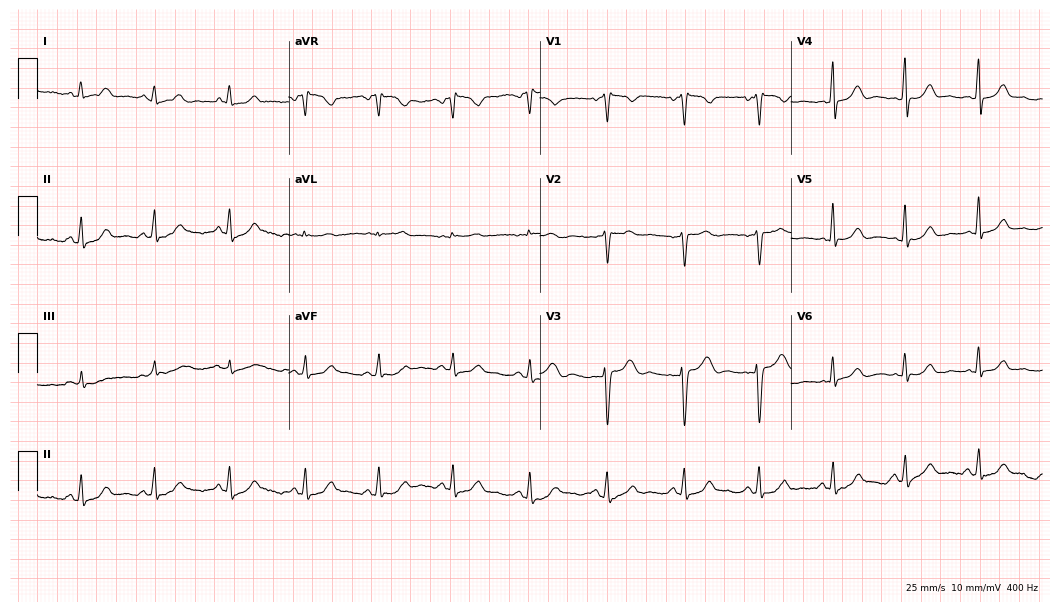
12-lead ECG from a 33-year-old female. Labelled as a normal ECG.